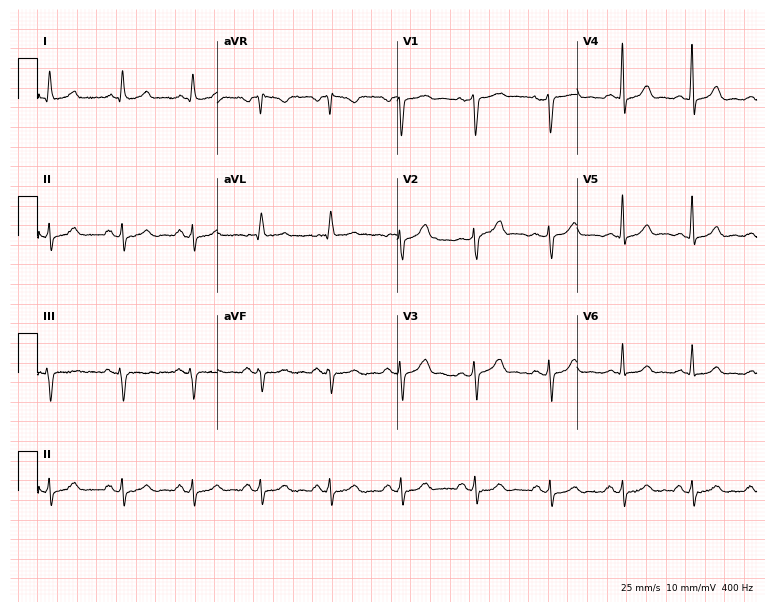
ECG (7.3-second recording at 400 Hz) — a 43-year-old female patient. Labelled as a normal ECG.